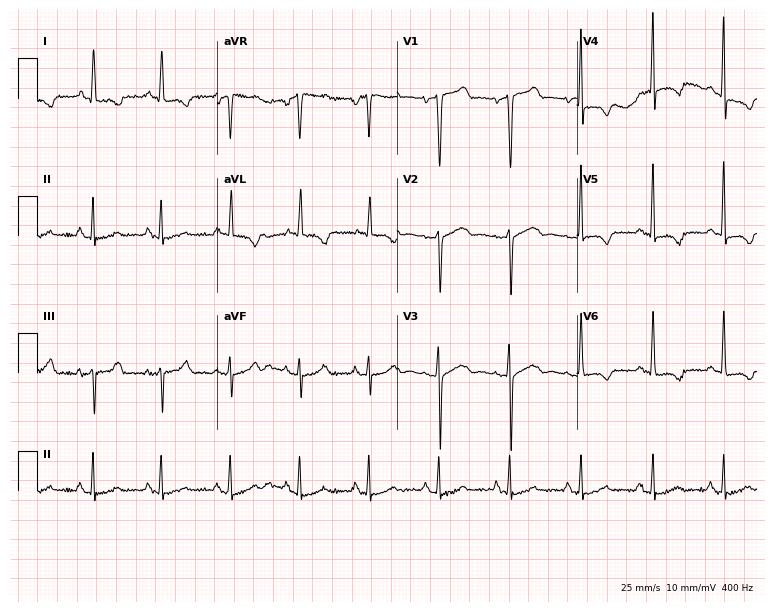
12-lead ECG from a female, 66 years old. Screened for six findings — first-degree AV block, right bundle branch block, left bundle branch block, sinus bradycardia, atrial fibrillation, sinus tachycardia — none is recorded.